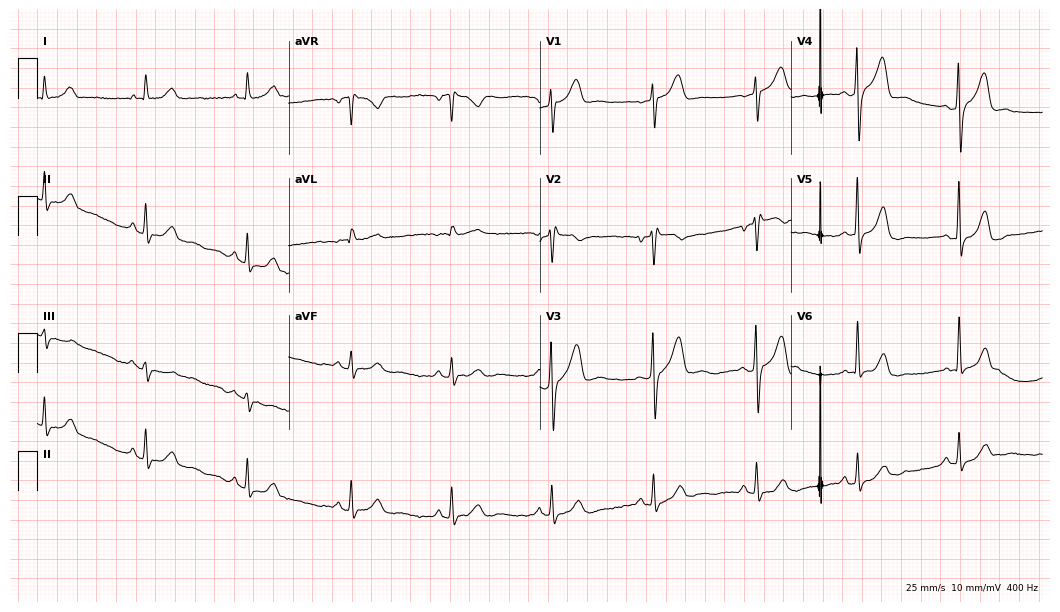
ECG — a male, 58 years old. Labelled as a normal ECG.